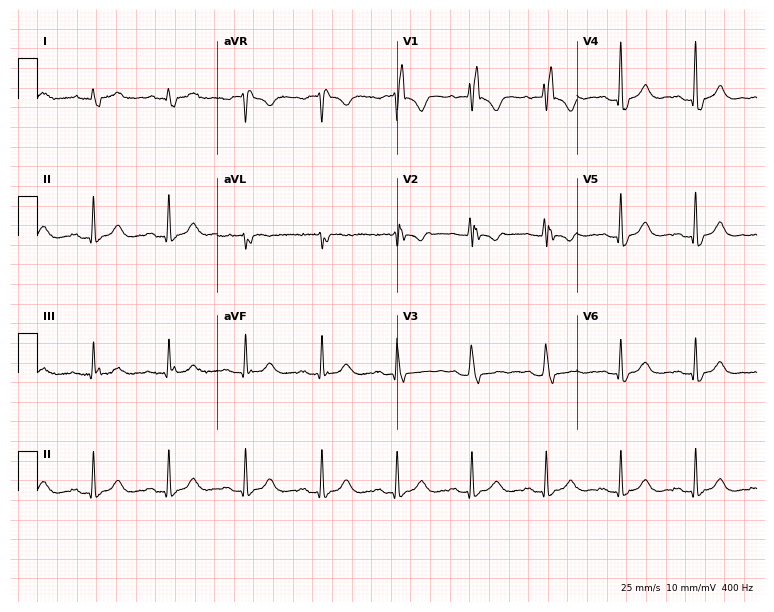
12-lead ECG from a 61-year-old female. Shows right bundle branch block.